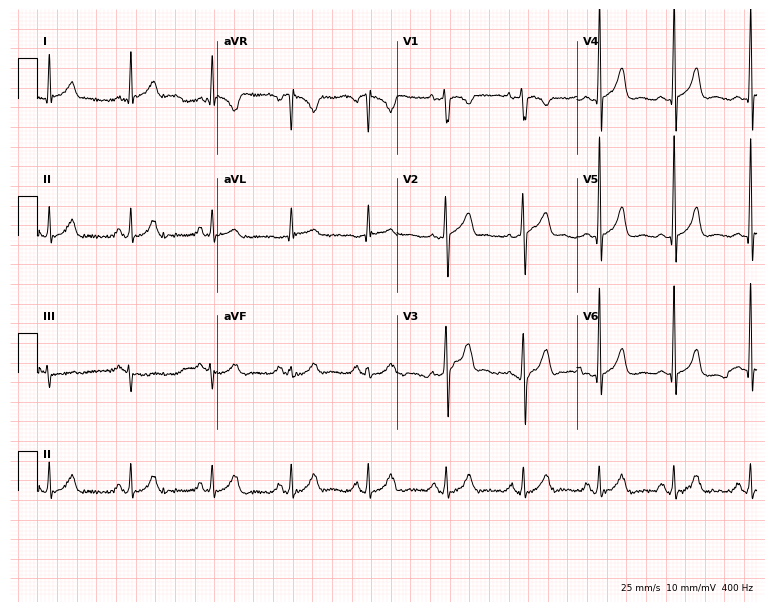
12-lead ECG from a 52-year-old man (7.3-second recording at 400 Hz). Recorded interpretation: within normal limits.